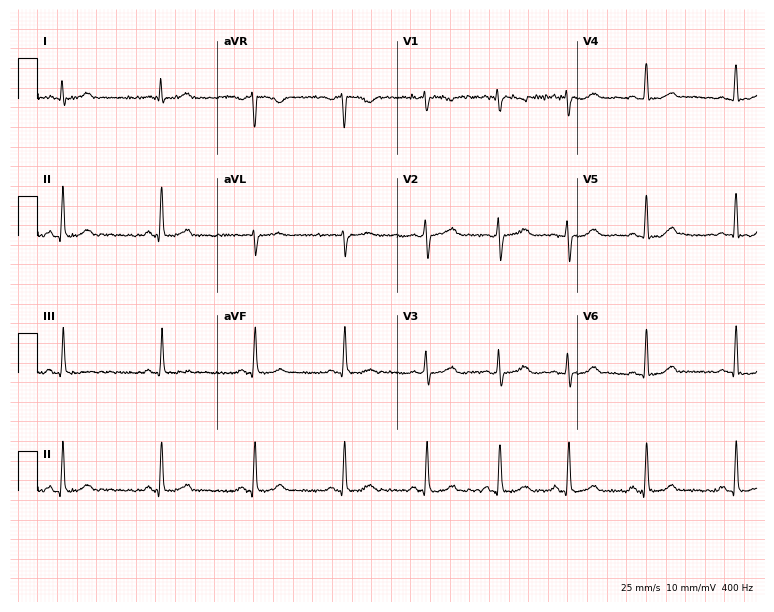
Electrocardiogram, a female, 22 years old. Overall reading on record: normal ECG.